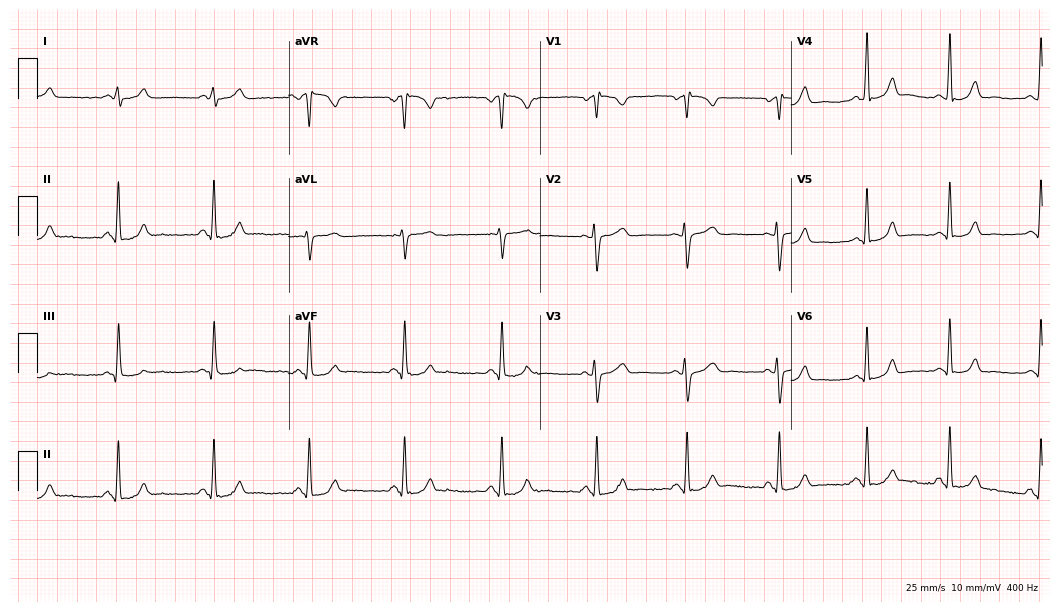
12-lead ECG from a 28-year-old female patient (10.2-second recording at 400 Hz). Recorded interpretation: within normal limits.